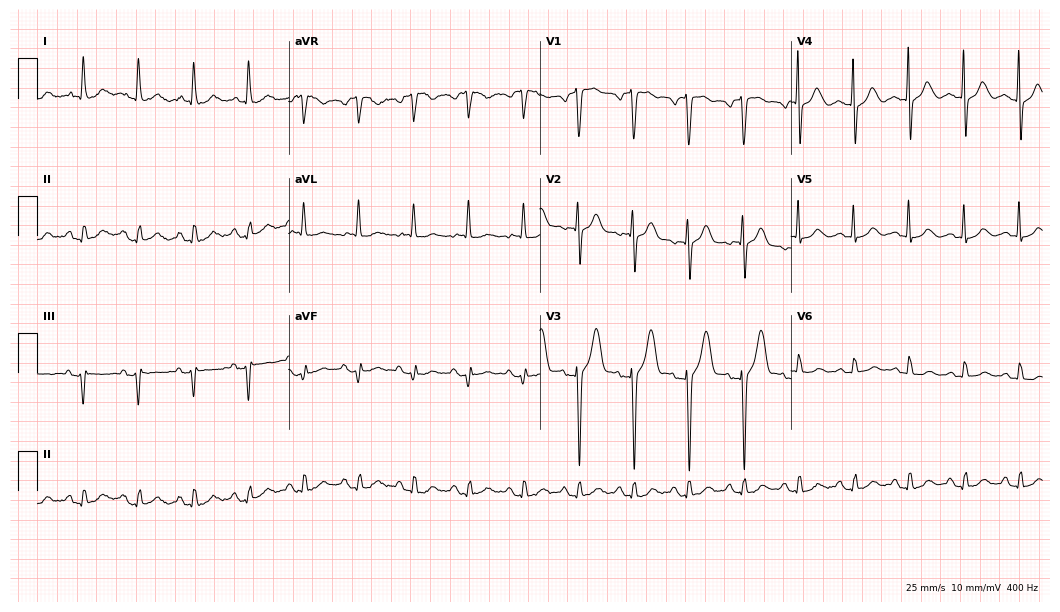
12-lead ECG from a 60-year-old male (10.2-second recording at 400 Hz). Shows sinus tachycardia (a sinus rate of 100 beats per minute or more).